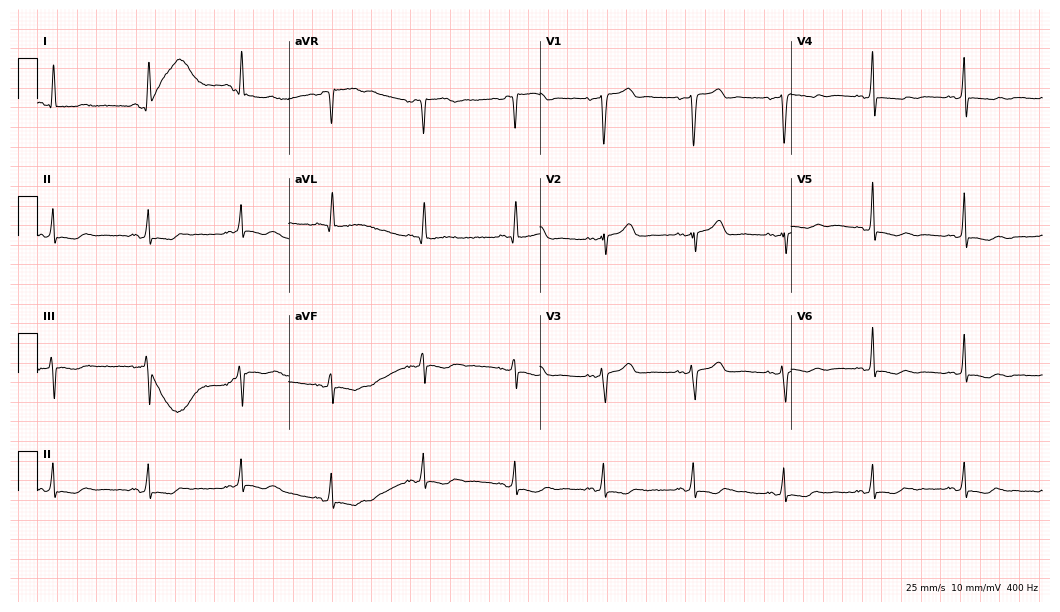
12-lead ECG (10.2-second recording at 400 Hz) from a 51-year-old woman. Screened for six findings — first-degree AV block, right bundle branch block, left bundle branch block, sinus bradycardia, atrial fibrillation, sinus tachycardia — none is recorded.